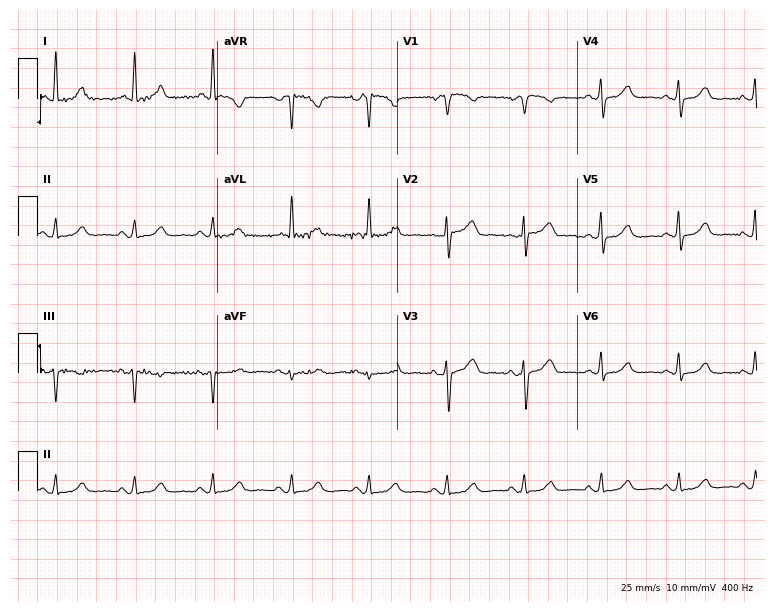
Standard 12-lead ECG recorded from a 68-year-old female. Read as a normal ECG.